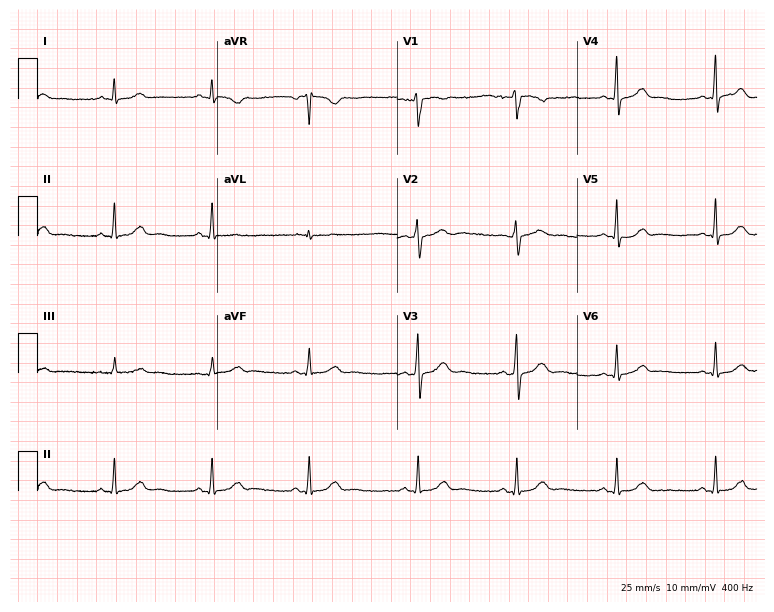
Electrocardiogram, a 34-year-old female. Overall reading on record: normal ECG.